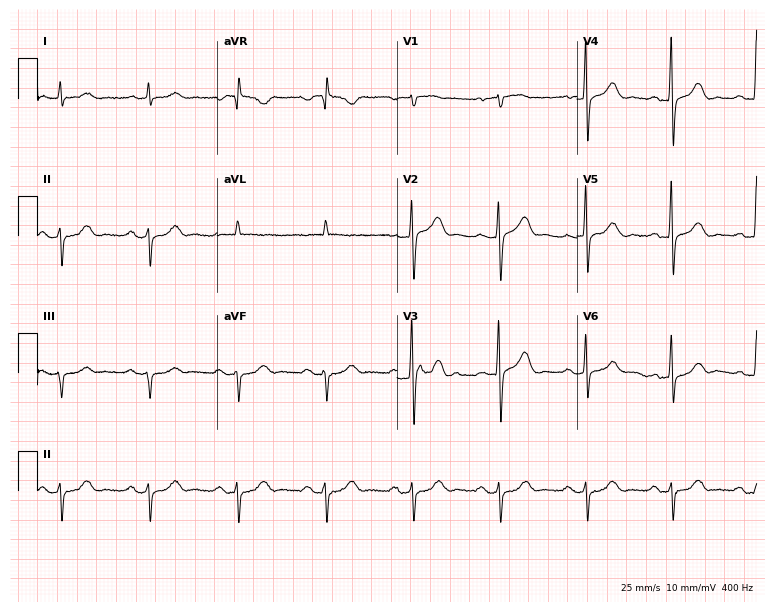
12-lead ECG from a man, 68 years old (7.3-second recording at 400 Hz). No first-degree AV block, right bundle branch block (RBBB), left bundle branch block (LBBB), sinus bradycardia, atrial fibrillation (AF) or sinus tachycardia recorded for this tracing. Other findings, if any, are not listed.